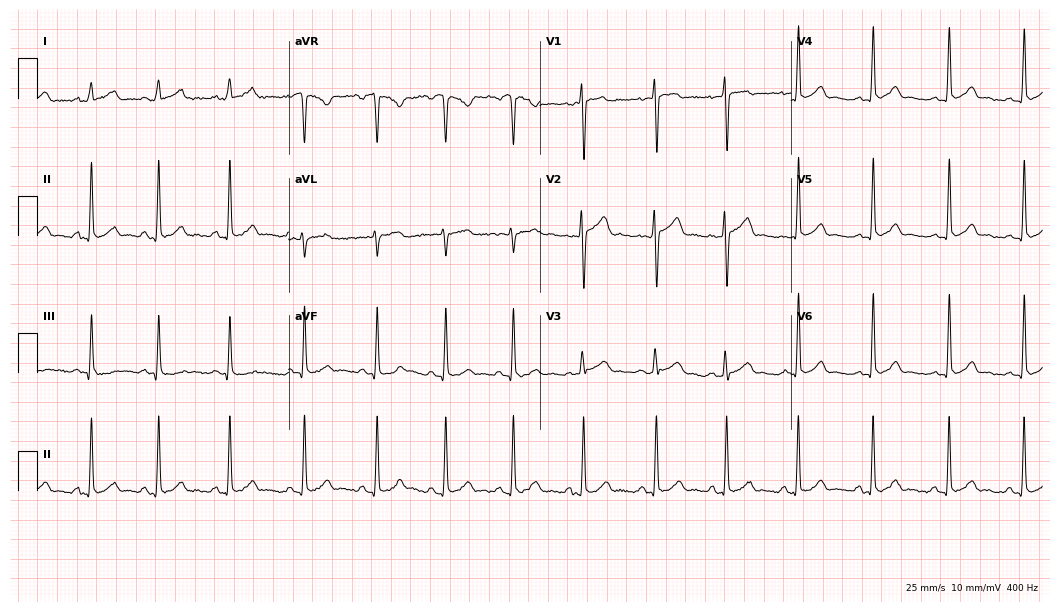
ECG (10.2-second recording at 400 Hz) — a 23-year-old woman. Labelled as a normal ECG.